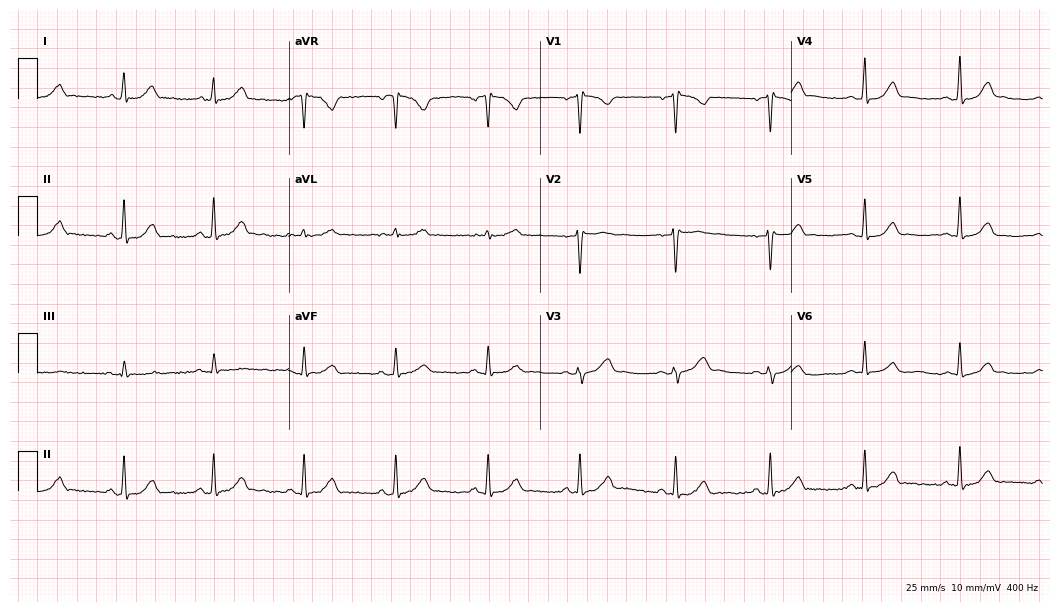
12-lead ECG from a 40-year-old woman. No first-degree AV block, right bundle branch block (RBBB), left bundle branch block (LBBB), sinus bradycardia, atrial fibrillation (AF) or sinus tachycardia recorded for this tracing.